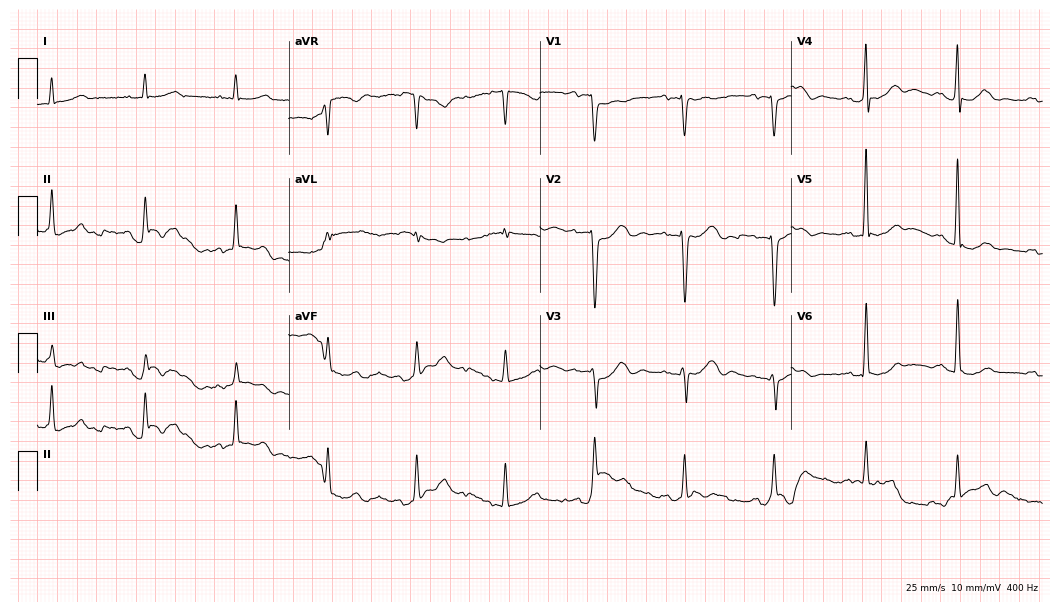
ECG (10.2-second recording at 400 Hz) — a male, 62 years old. Labelled as a normal ECG.